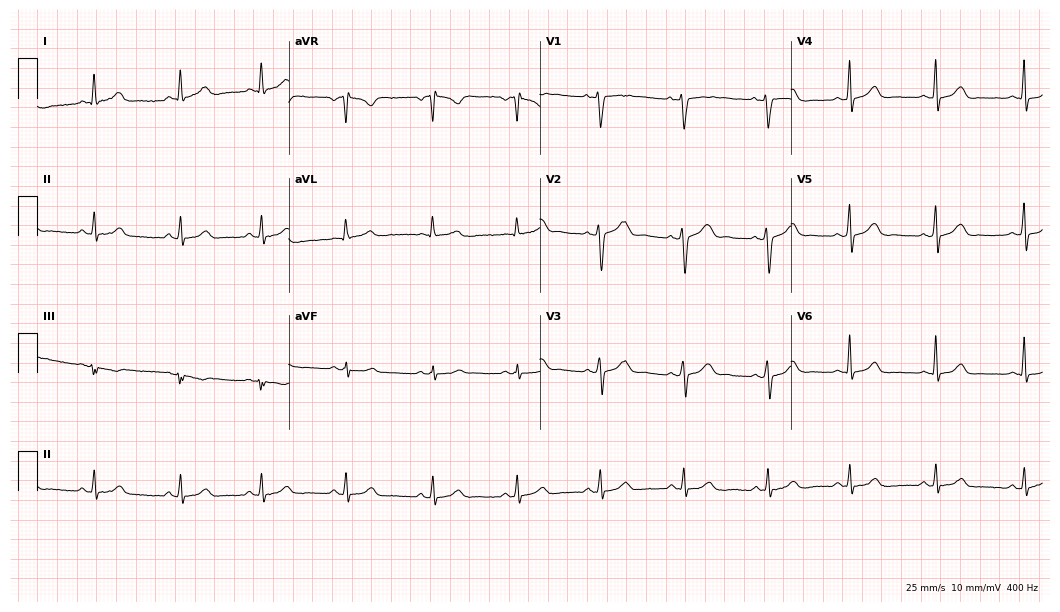
12-lead ECG from a 23-year-old female. Screened for six findings — first-degree AV block, right bundle branch block, left bundle branch block, sinus bradycardia, atrial fibrillation, sinus tachycardia — none is recorded. Other findings, if any, are not listed.